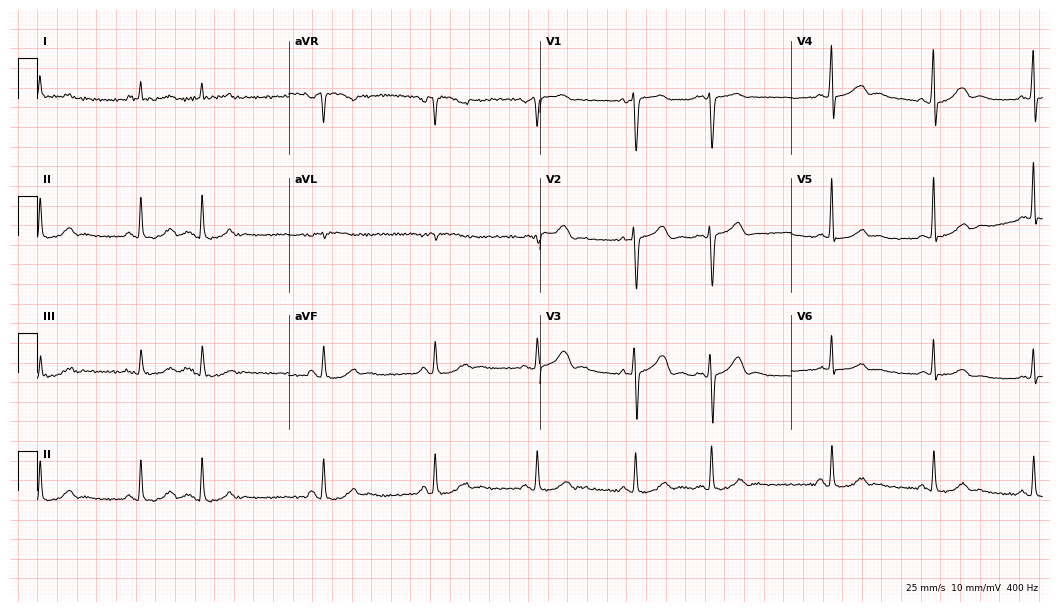
ECG (10.2-second recording at 400 Hz) — a 68-year-old man. Screened for six findings — first-degree AV block, right bundle branch block, left bundle branch block, sinus bradycardia, atrial fibrillation, sinus tachycardia — none is recorded. Only these six findings were labelled.